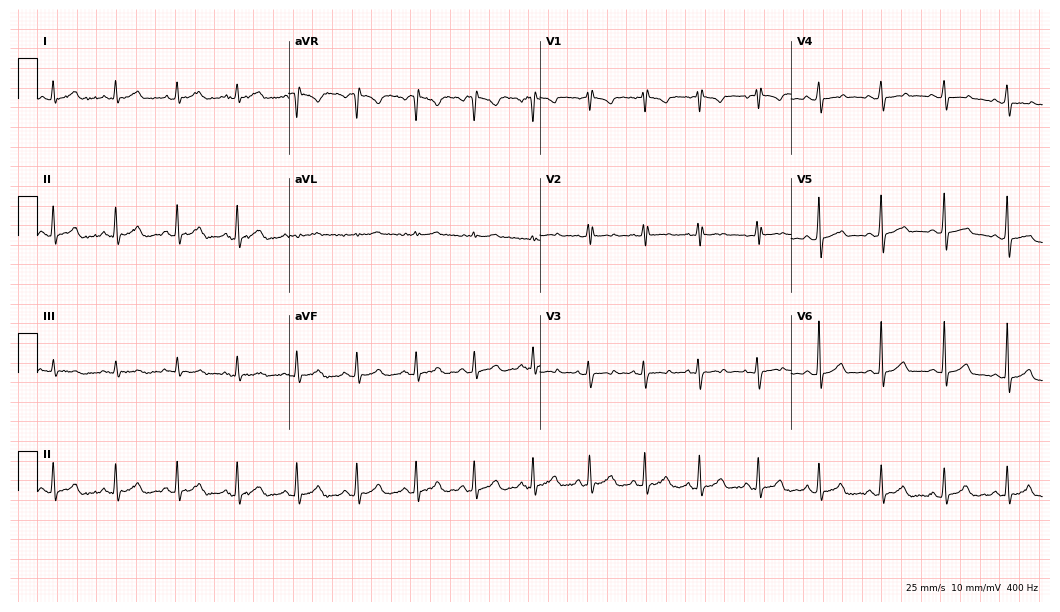
Resting 12-lead electrocardiogram (10.2-second recording at 400 Hz). Patient: a woman, 19 years old. None of these six findings is recorded: first-degree AV block, right bundle branch block, left bundle branch block, sinus bradycardia, atrial fibrillation, sinus tachycardia. Findings outside these six are not listed.